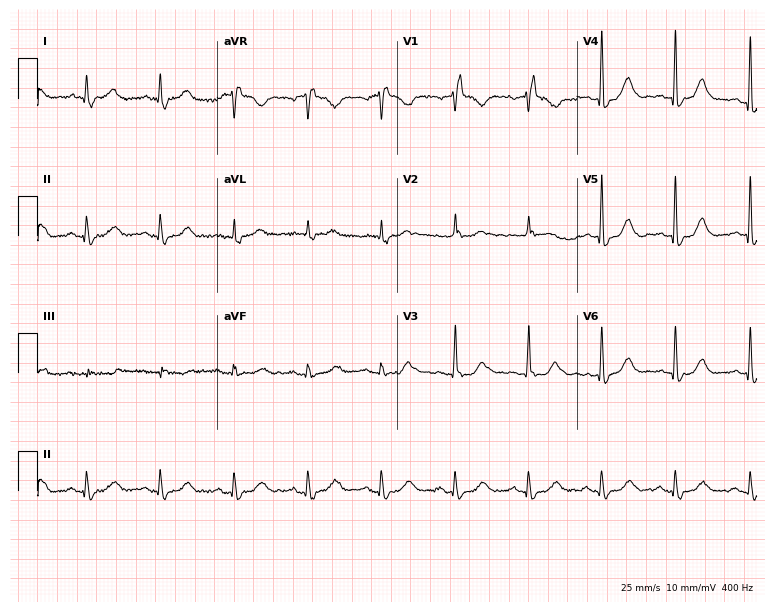
ECG (7.3-second recording at 400 Hz) — a woman, 81 years old. Findings include right bundle branch block.